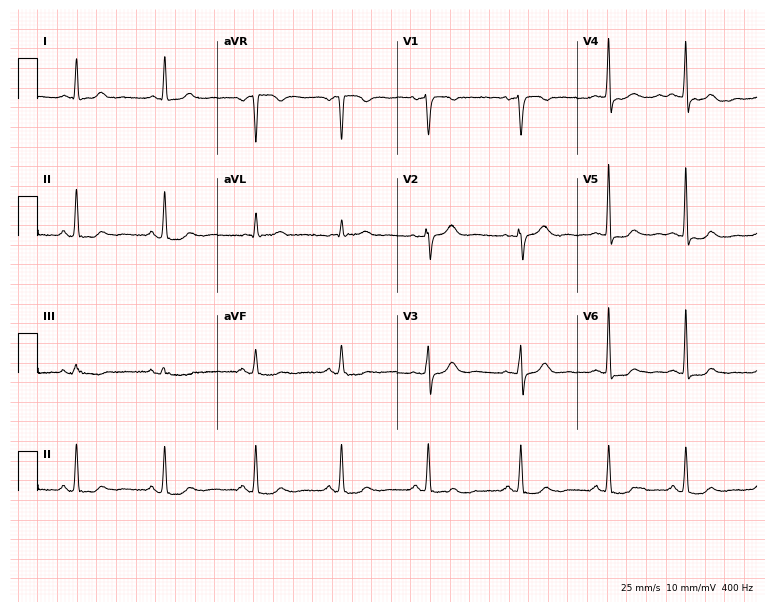
Resting 12-lead electrocardiogram. Patient: a 49-year-old female. None of these six findings is recorded: first-degree AV block, right bundle branch block, left bundle branch block, sinus bradycardia, atrial fibrillation, sinus tachycardia. Other findings, if any, are not listed.